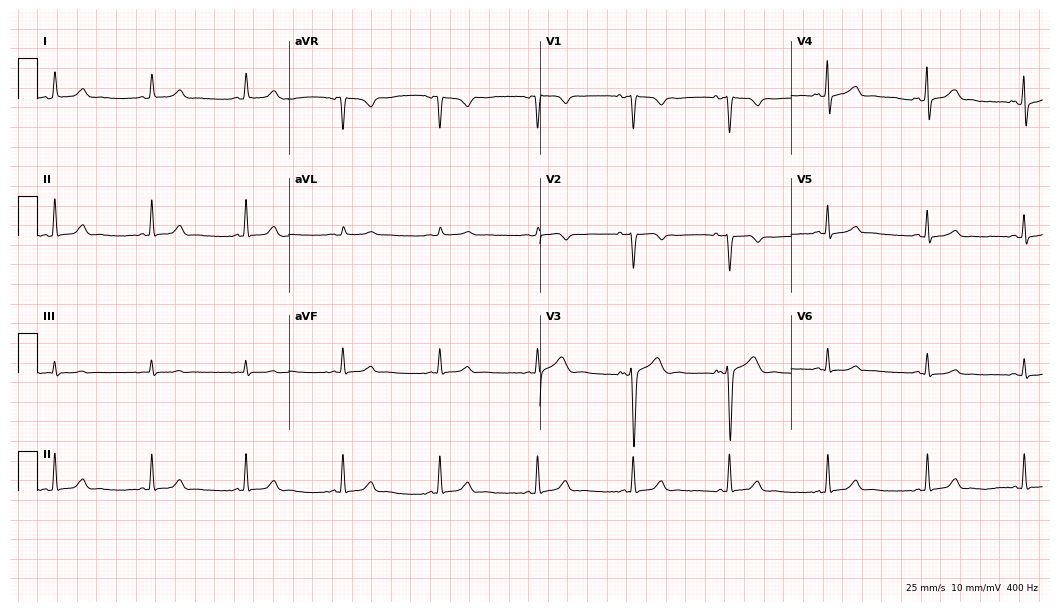
12-lead ECG from a man, 37 years old (10.2-second recording at 400 Hz). No first-degree AV block, right bundle branch block (RBBB), left bundle branch block (LBBB), sinus bradycardia, atrial fibrillation (AF) or sinus tachycardia recorded for this tracing.